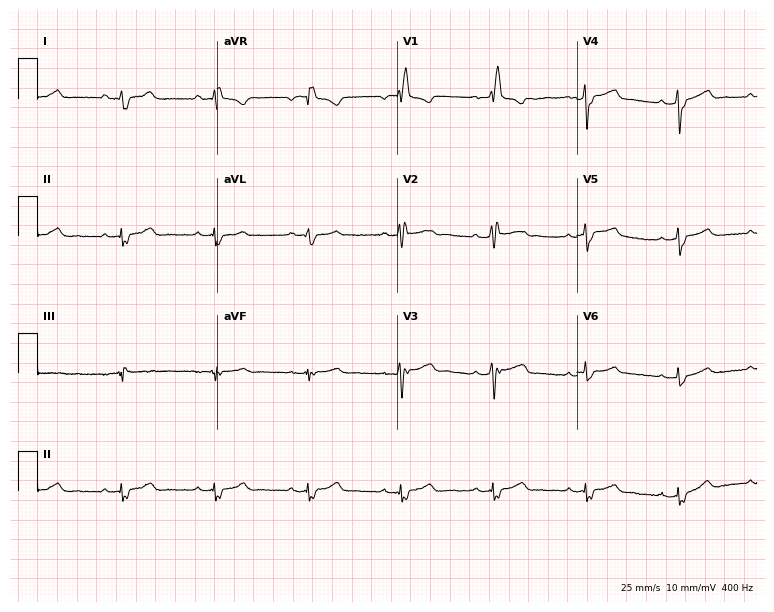
12-lead ECG (7.3-second recording at 400 Hz) from a woman, 38 years old. Findings include right bundle branch block.